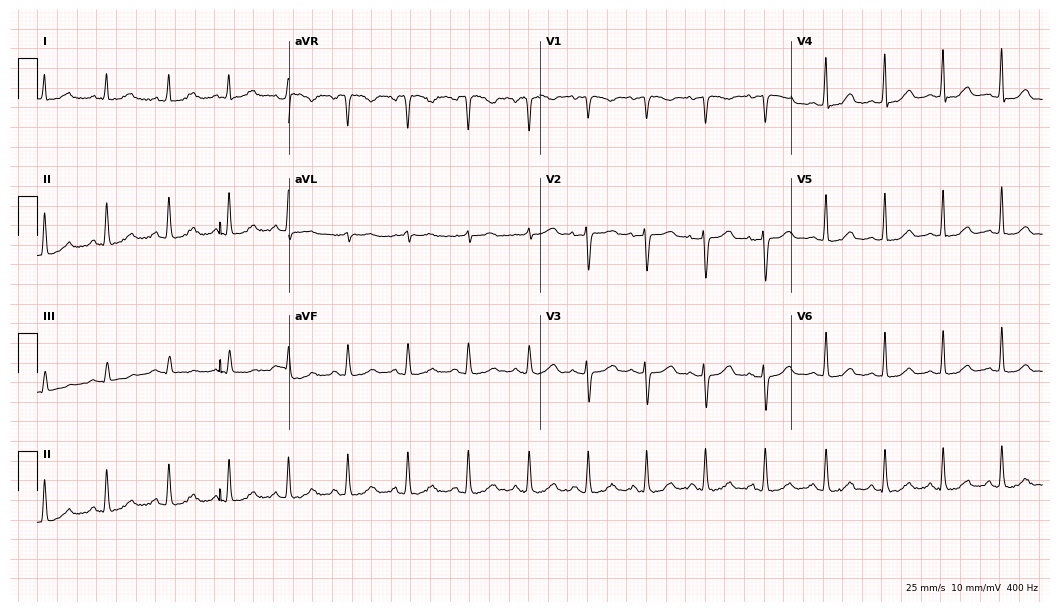
ECG — a 38-year-old female. Labelled as a normal ECG.